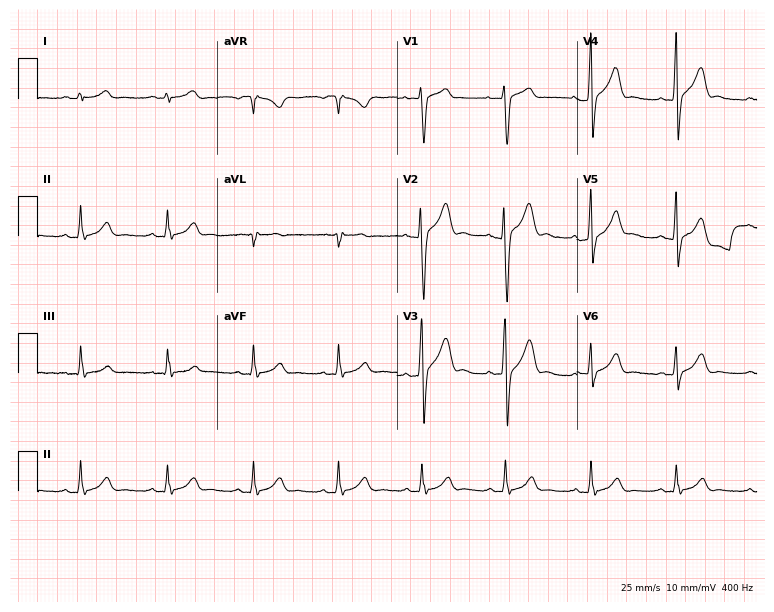
Electrocardiogram (7.3-second recording at 400 Hz), a man, 29 years old. Of the six screened findings (first-degree AV block, right bundle branch block (RBBB), left bundle branch block (LBBB), sinus bradycardia, atrial fibrillation (AF), sinus tachycardia), none is recorded.